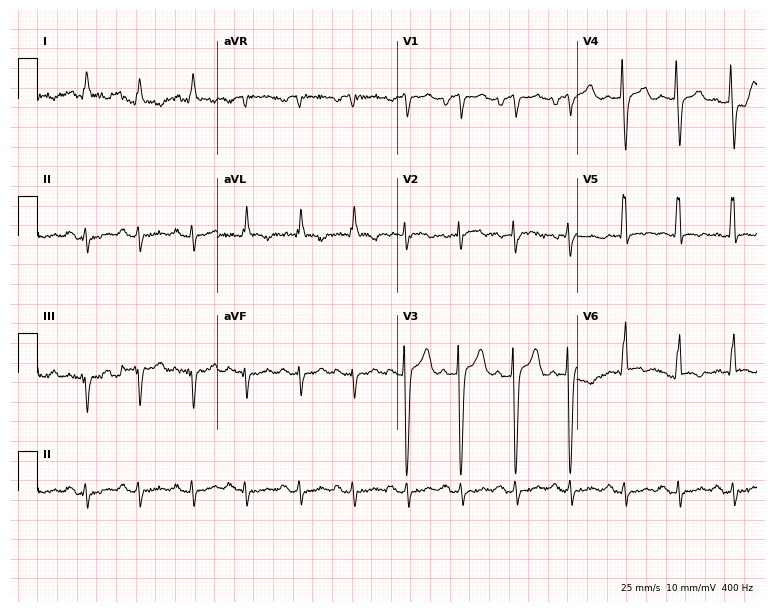
12-lead ECG from a male patient, 57 years old (7.3-second recording at 400 Hz). Shows sinus tachycardia (a sinus rate of 100 beats per minute or more).